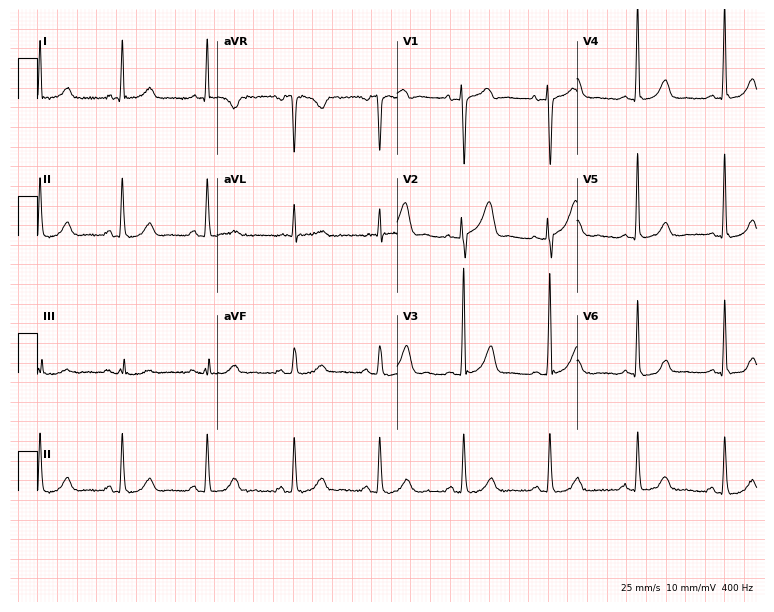
ECG (7.3-second recording at 400 Hz) — a female, 52 years old. Labelled as a normal ECG.